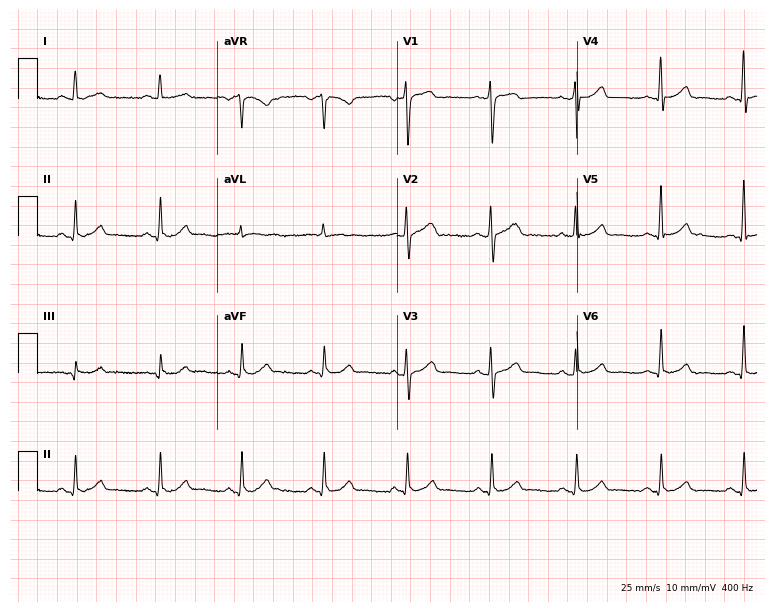
ECG — a 52-year-old man. Labelled as a normal ECG.